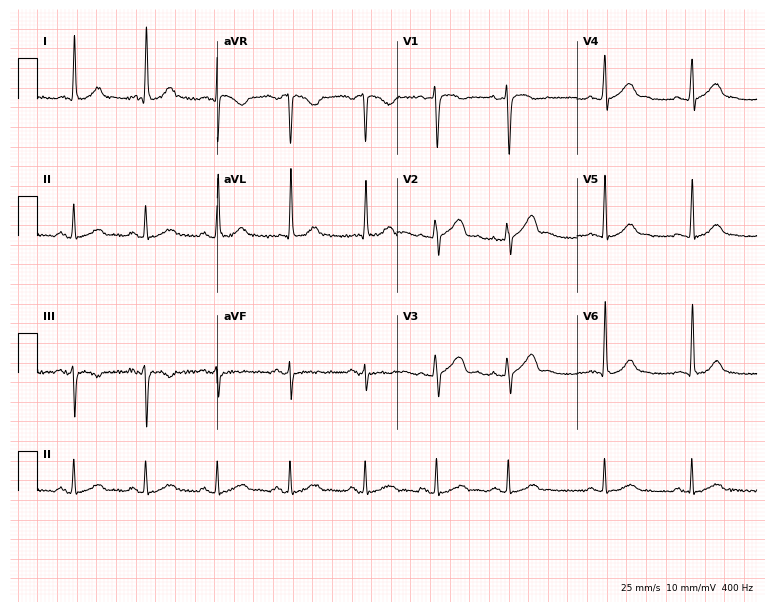
Resting 12-lead electrocardiogram. Patient: a 47-year-old female. None of these six findings is recorded: first-degree AV block, right bundle branch block, left bundle branch block, sinus bradycardia, atrial fibrillation, sinus tachycardia. Findings outside these six are not listed.